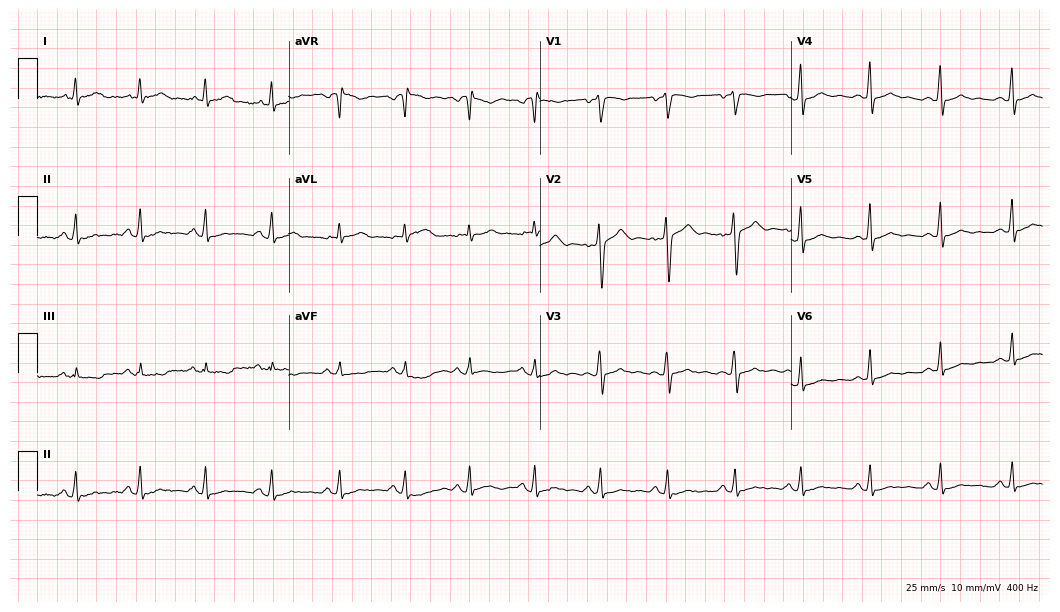
Standard 12-lead ECG recorded from a 38-year-old female. Read as a normal ECG.